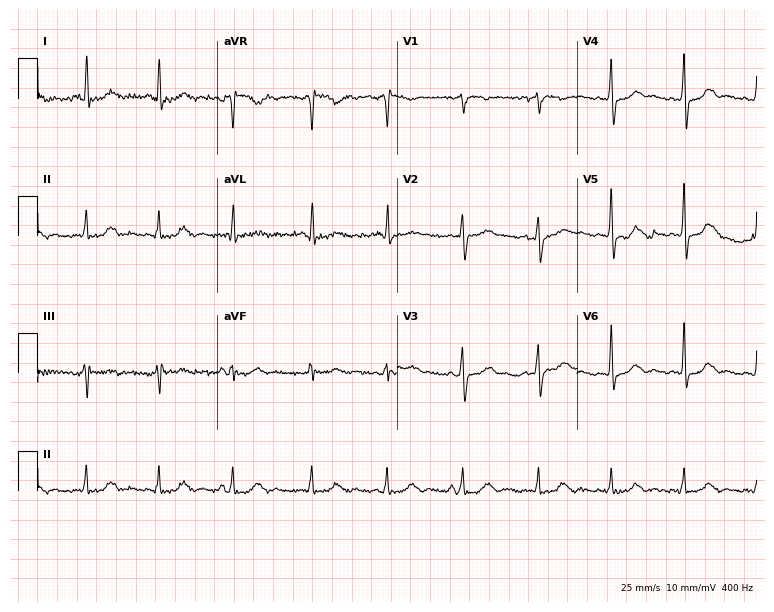
Electrocardiogram (7.3-second recording at 400 Hz), a 78-year-old female. Overall reading on record: normal ECG.